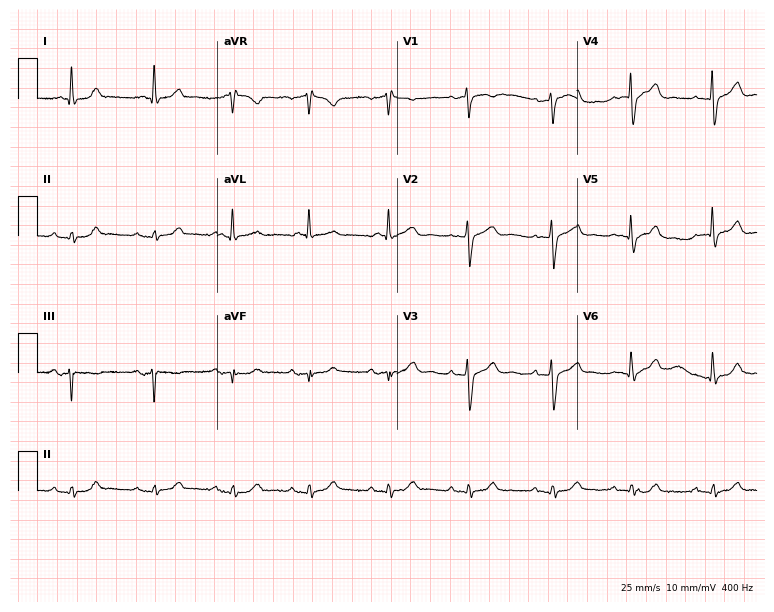
12-lead ECG from a male, 75 years old (7.3-second recording at 400 Hz). No first-degree AV block, right bundle branch block, left bundle branch block, sinus bradycardia, atrial fibrillation or sinus tachycardia recorded for this tracing. Other findings, if any, are not listed.